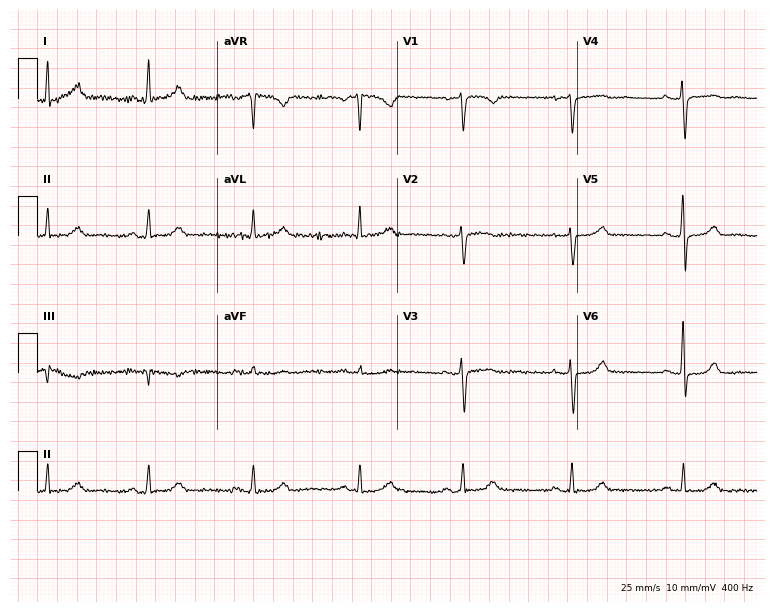
Standard 12-lead ECG recorded from a 59-year-old female (7.3-second recording at 400 Hz). None of these six findings is recorded: first-degree AV block, right bundle branch block, left bundle branch block, sinus bradycardia, atrial fibrillation, sinus tachycardia.